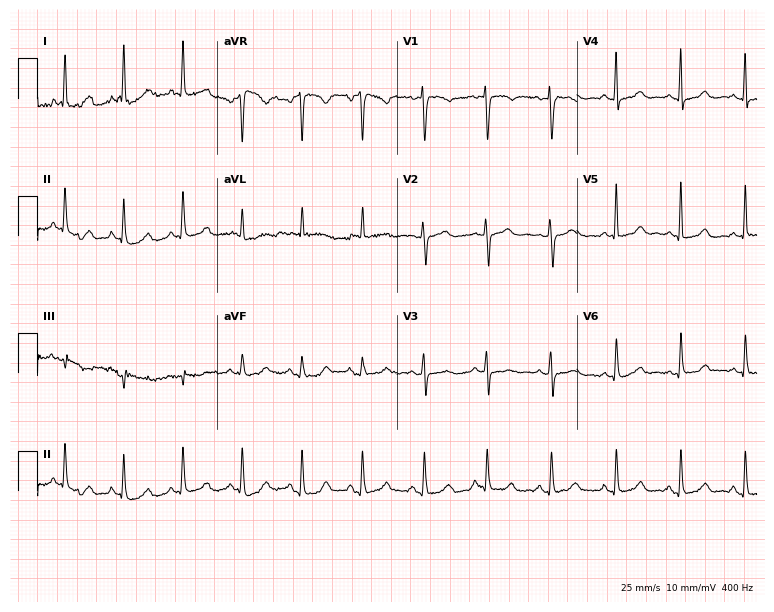
ECG — a 60-year-old woman. Labelled as a normal ECG.